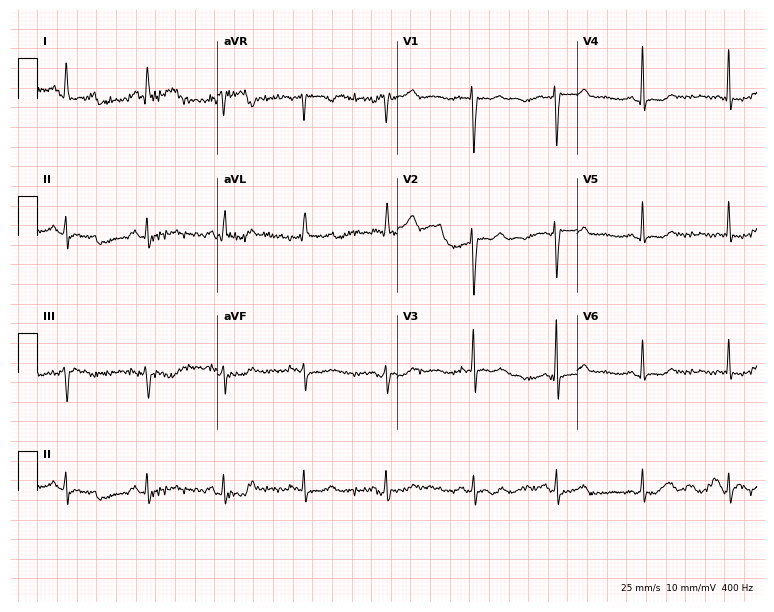
Electrocardiogram, a 75-year-old woman. Overall reading on record: normal ECG.